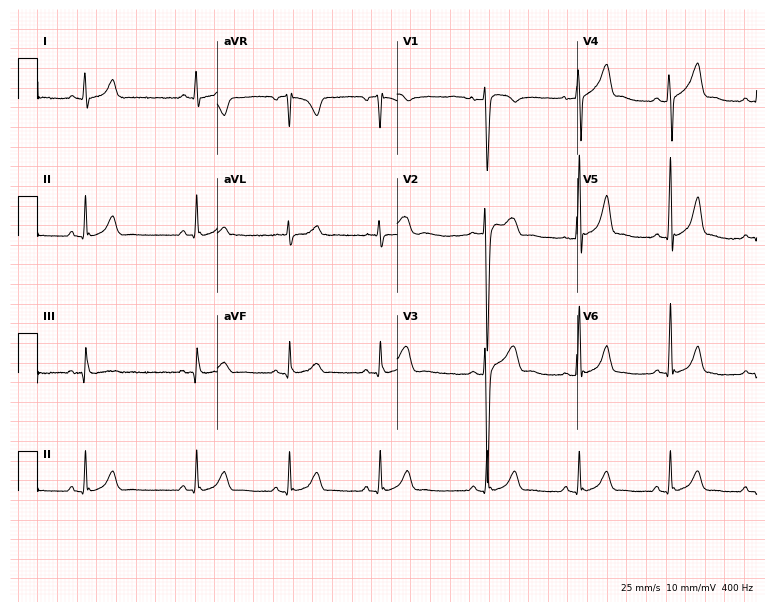
12-lead ECG (7.3-second recording at 400 Hz) from a male patient, 17 years old. Labelled as a normal ECG.